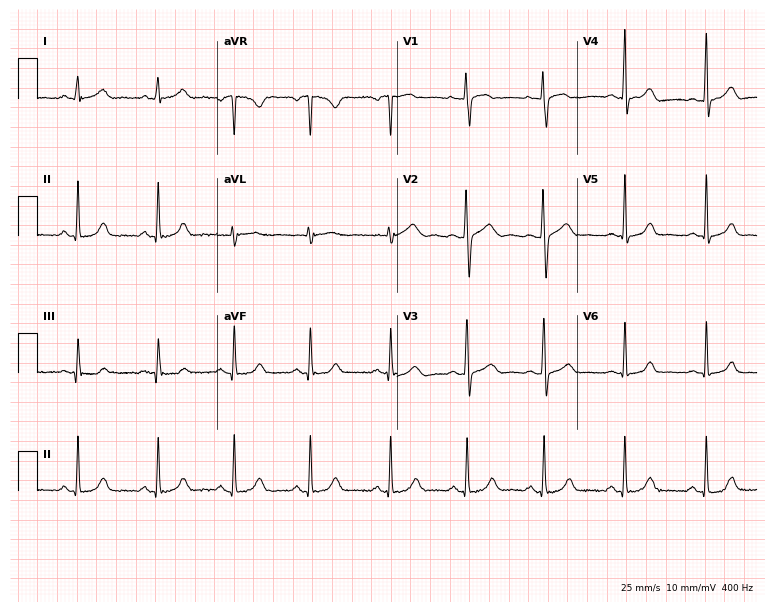
Electrocardiogram (7.3-second recording at 400 Hz), a 28-year-old female patient. Overall reading on record: normal ECG.